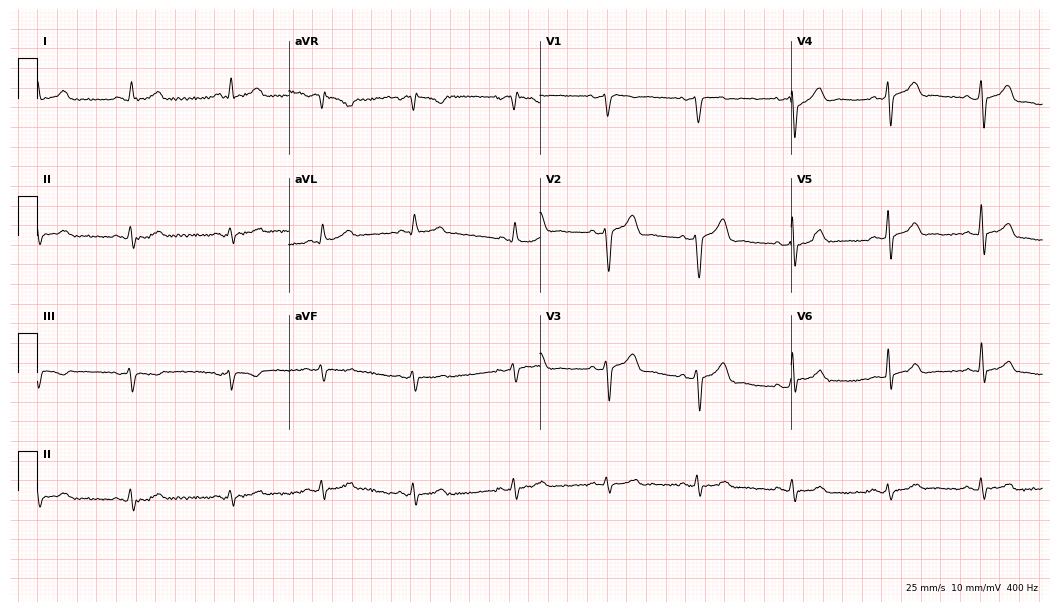
ECG — a 55-year-old male. Labelled as a normal ECG.